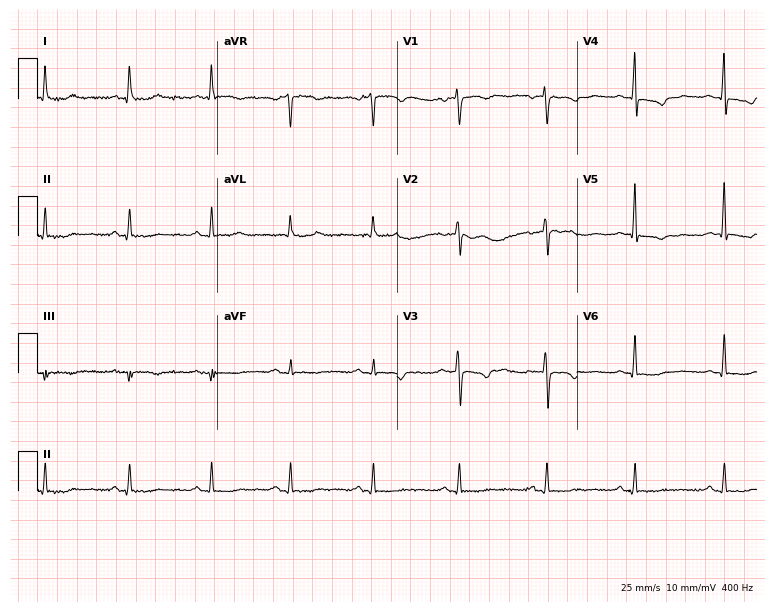
12-lead ECG from a woman, 69 years old (7.3-second recording at 400 Hz). No first-degree AV block, right bundle branch block, left bundle branch block, sinus bradycardia, atrial fibrillation or sinus tachycardia recorded for this tracing.